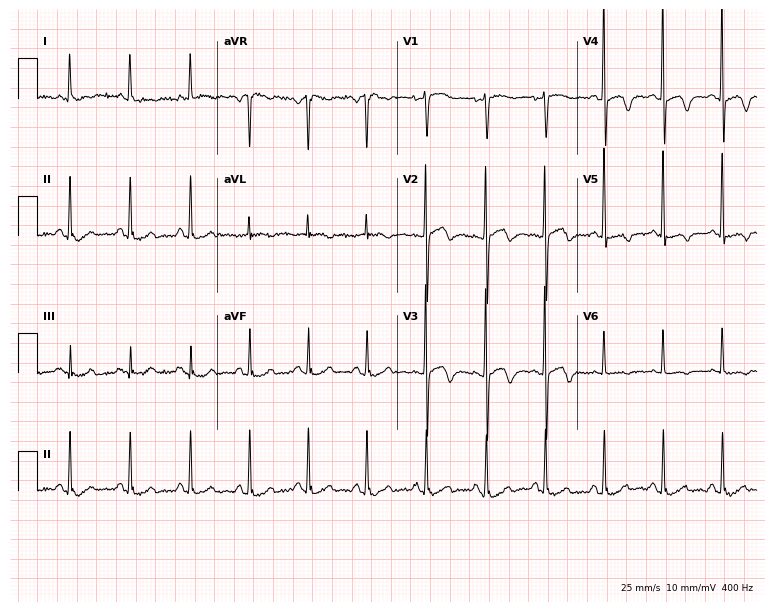
12-lead ECG from a female, 78 years old (7.3-second recording at 400 Hz). No first-degree AV block, right bundle branch block, left bundle branch block, sinus bradycardia, atrial fibrillation or sinus tachycardia recorded for this tracing.